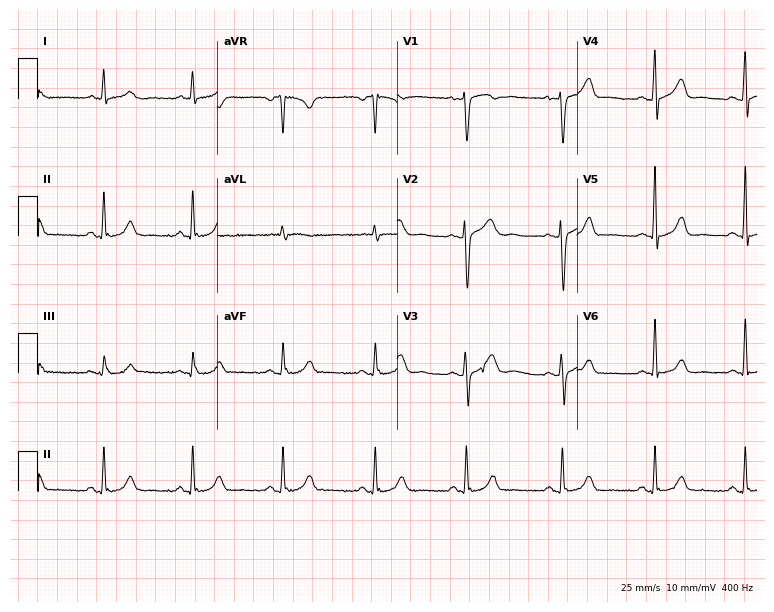
ECG — a female patient, 39 years old. Screened for six findings — first-degree AV block, right bundle branch block (RBBB), left bundle branch block (LBBB), sinus bradycardia, atrial fibrillation (AF), sinus tachycardia — none is recorded.